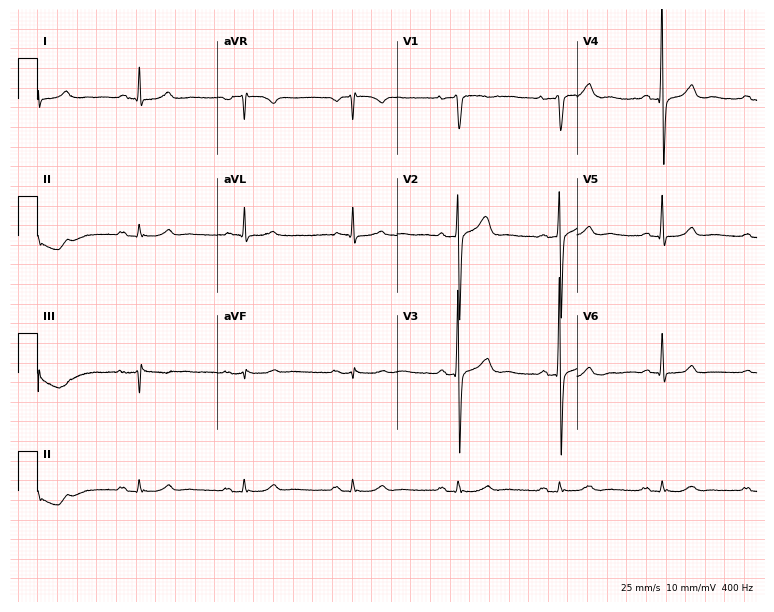
ECG — a male patient, 67 years old. Labelled as a normal ECG.